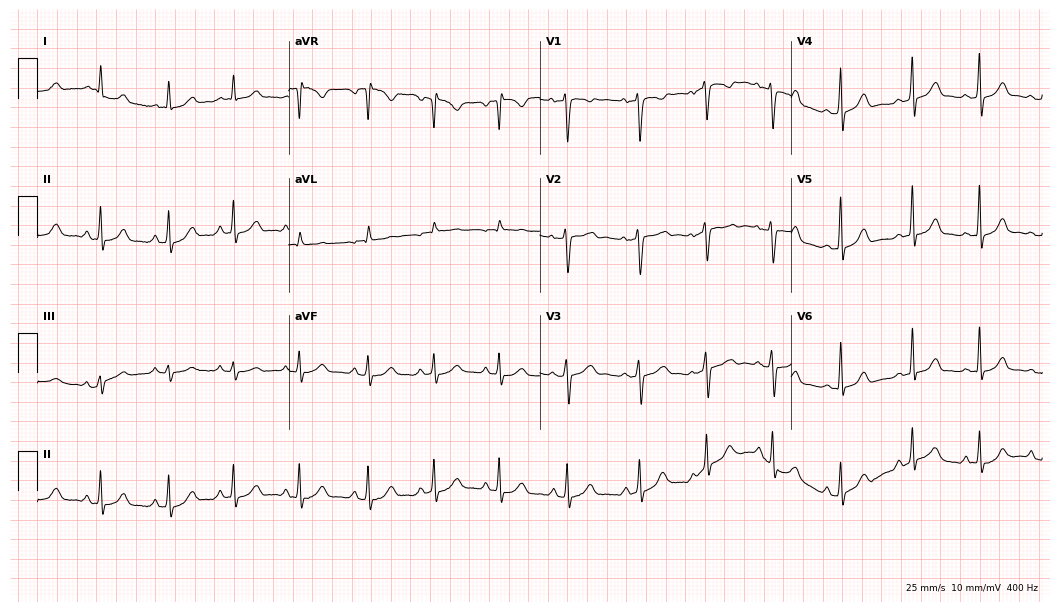
12-lead ECG from a 30-year-old woman (10.2-second recording at 400 Hz). Recorded interpretation: within normal limits.